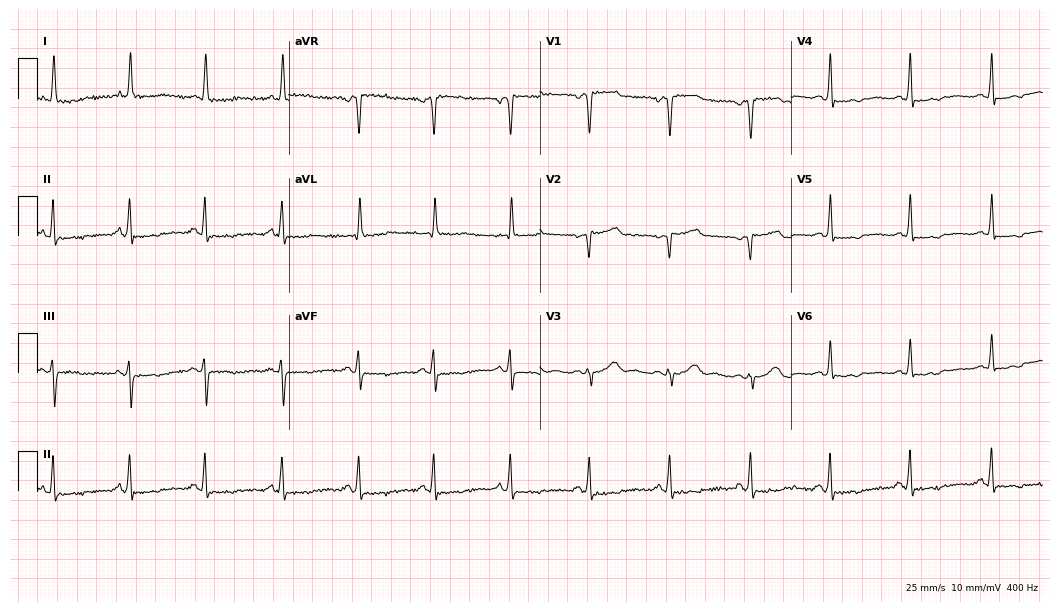
12-lead ECG from a female patient, 60 years old. Screened for six findings — first-degree AV block, right bundle branch block (RBBB), left bundle branch block (LBBB), sinus bradycardia, atrial fibrillation (AF), sinus tachycardia — none is recorded.